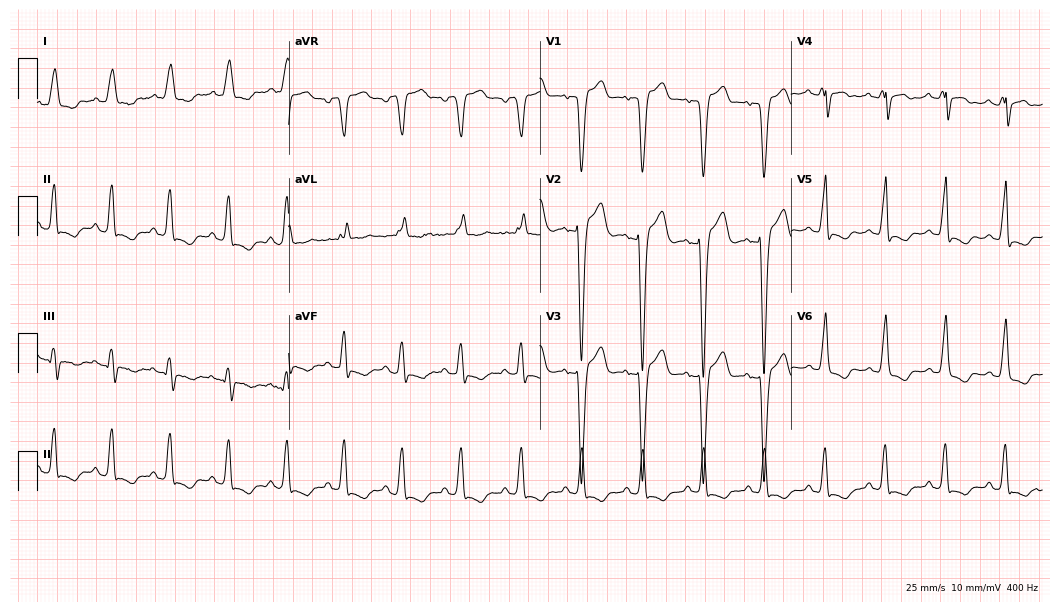
ECG — a woman, 82 years old. Screened for six findings — first-degree AV block, right bundle branch block (RBBB), left bundle branch block (LBBB), sinus bradycardia, atrial fibrillation (AF), sinus tachycardia — none is recorded.